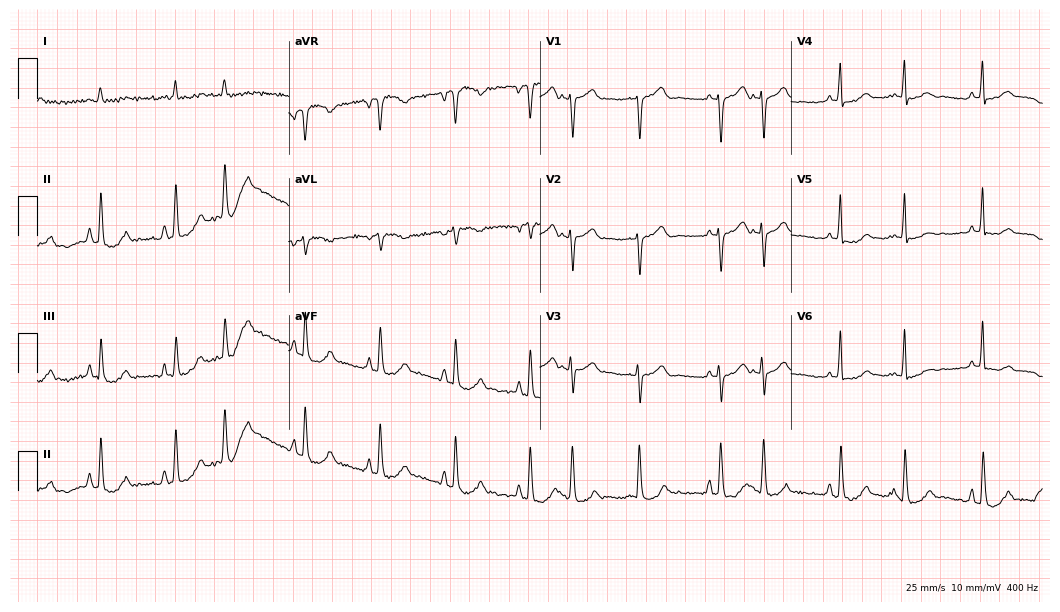
12-lead ECG from an 85-year-old male patient (10.2-second recording at 400 Hz). No first-degree AV block, right bundle branch block (RBBB), left bundle branch block (LBBB), sinus bradycardia, atrial fibrillation (AF) or sinus tachycardia recorded for this tracing. Findings outside these six are not listed.